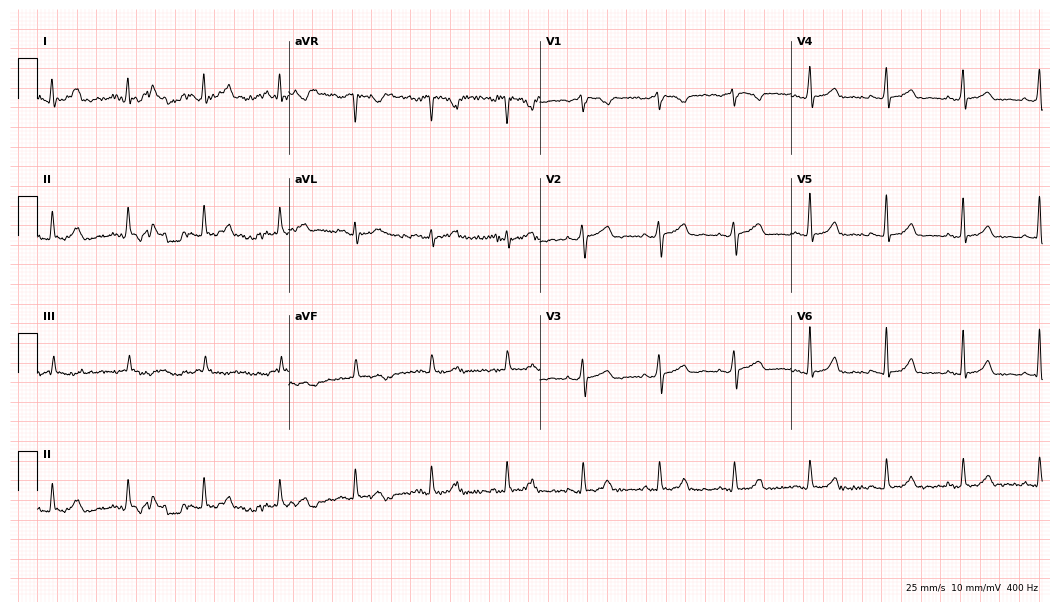
Standard 12-lead ECG recorded from a woman, 42 years old. None of these six findings is recorded: first-degree AV block, right bundle branch block (RBBB), left bundle branch block (LBBB), sinus bradycardia, atrial fibrillation (AF), sinus tachycardia. Other findings, if any, are not listed.